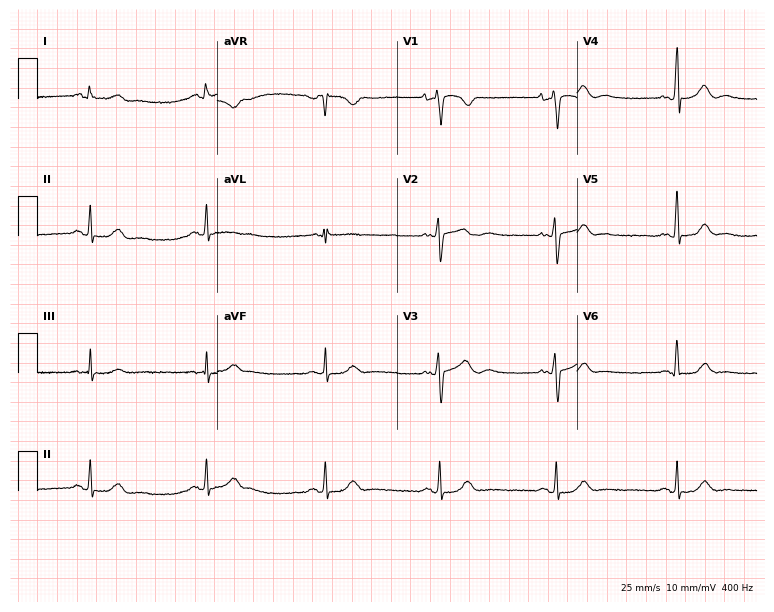
12-lead ECG from a woman, 44 years old. Screened for six findings — first-degree AV block, right bundle branch block (RBBB), left bundle branch block (LBBB), sinus bradycardia, atrial fibrillation (AF), sinus tachycardia — none is recorded. Other findings, if any, are not listed.